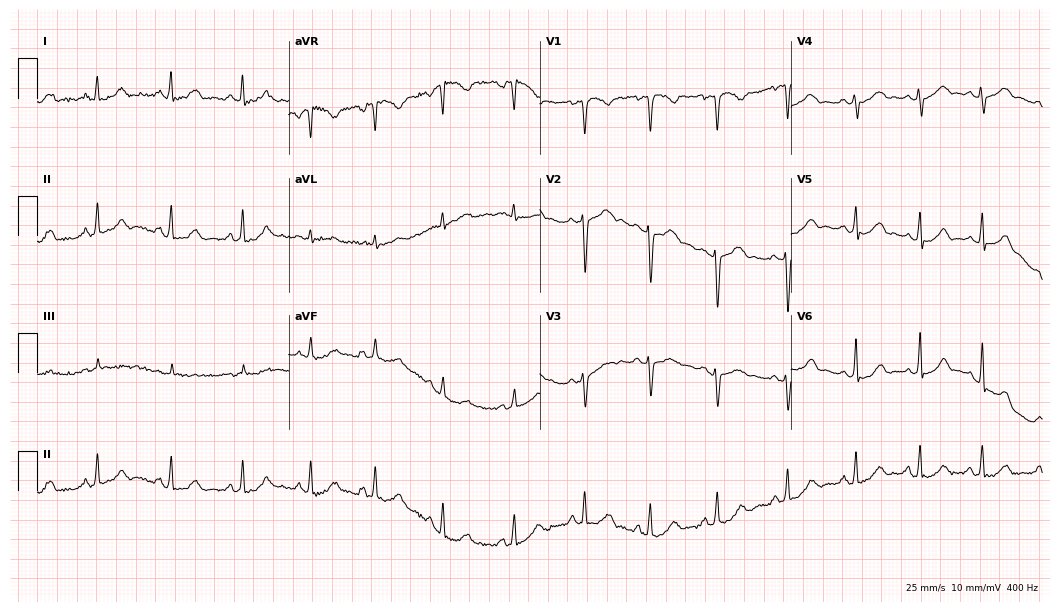
ECG (10.2-second recording at 400 Hz) — a woman, 33 years old. Labelled as a normal ECG.